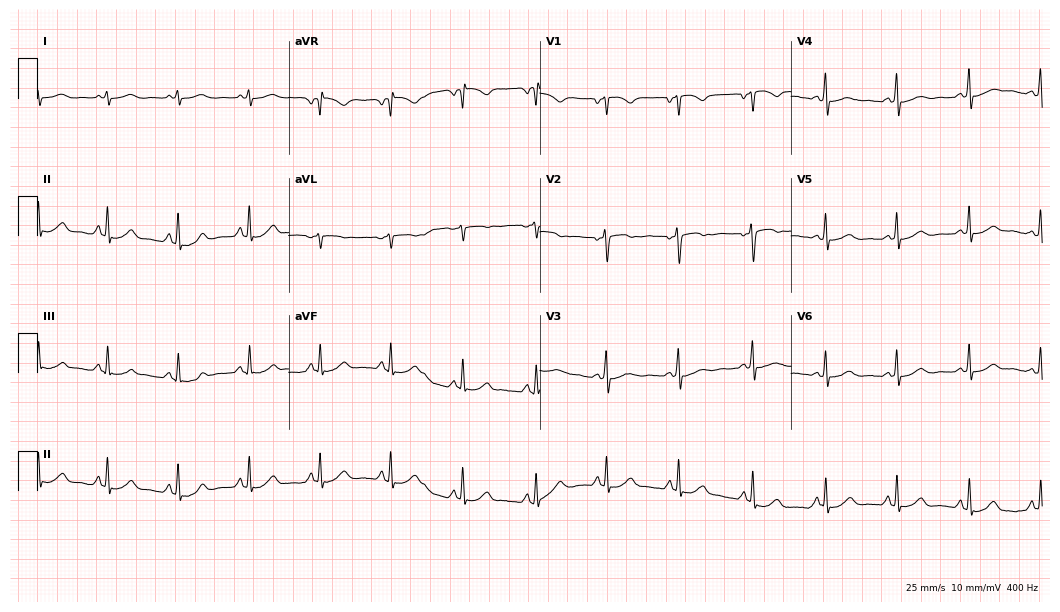
Electrocardiogram, a woman, 24 years old. Of the six screened findings (first-degree AV block, right bundle branch block, left bundle branch block, sinus bradycardia, atrial fibrillation, sinus tachycardia), none is recorded.